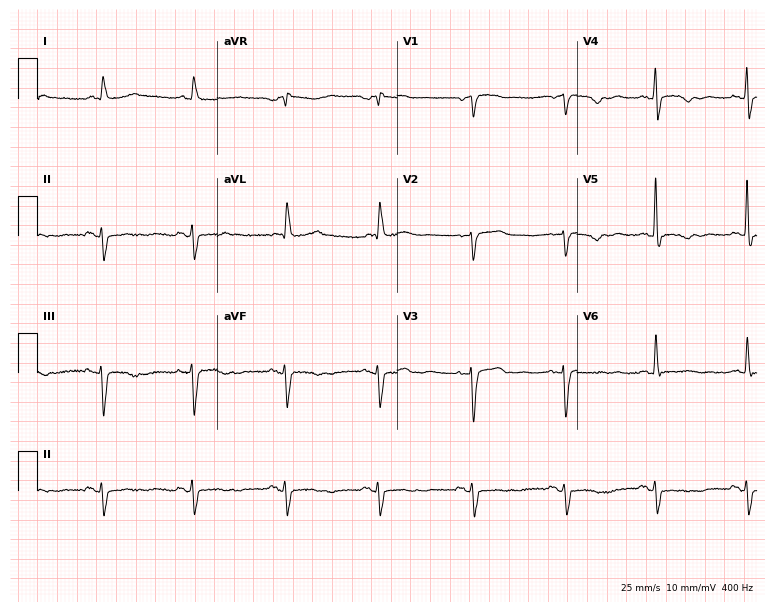
12-lead ECG (7.3-second recording at 400 Hz) from a 78-year-old woman. Screened for six findings — first-degree AV block, right bundle branch block, left bundle branch block, sinus bradycardia, atrial fibrillation, sinus tachycardia — none is recorded. Findings outside these six are not listed.